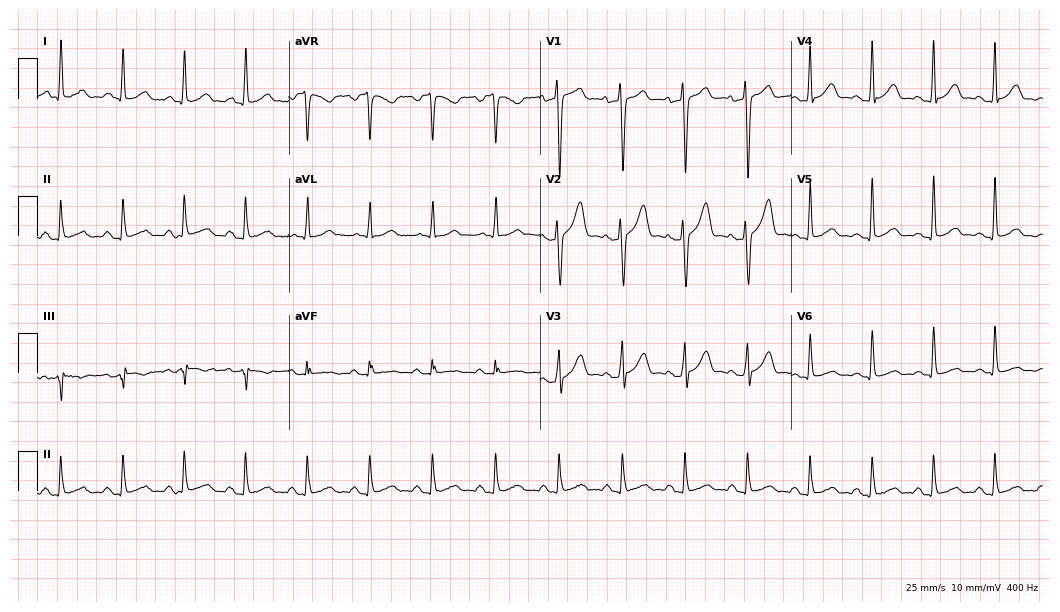
Resting 12-lead electrocardiogram. Patient: a man, 32 years old. Read as a normal ECG.